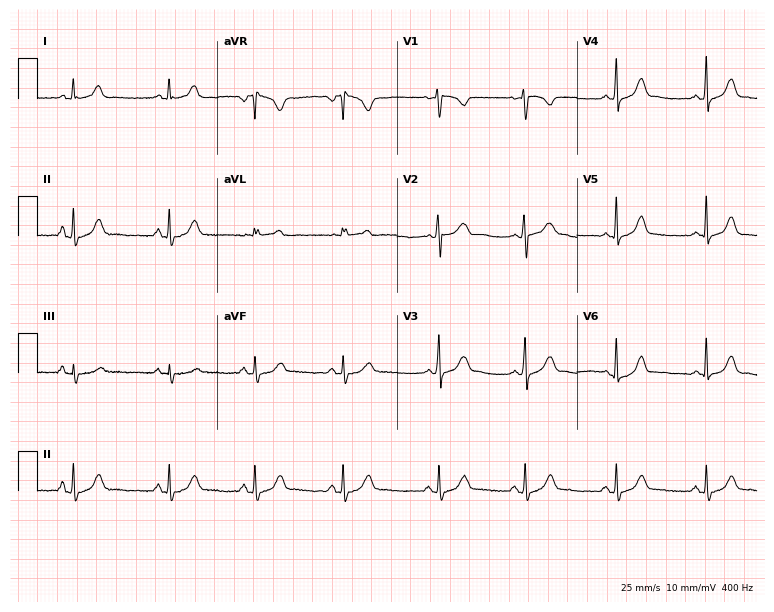
Resting 12-lead electrocardiogram. Patient: a 17-year-old female. Read as a normal ECG.